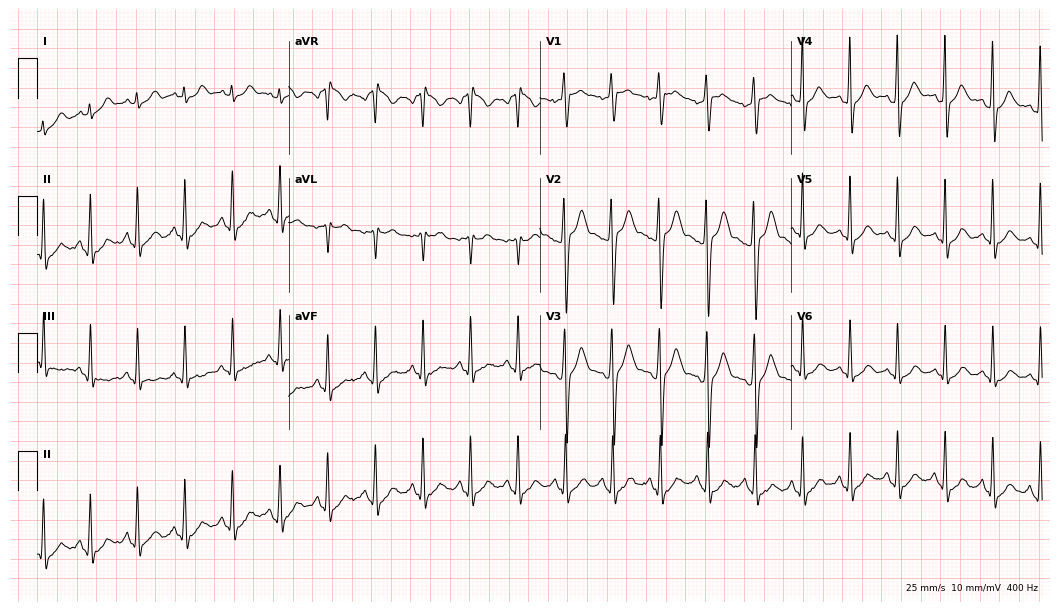
ECG — a 26-year-old male. Findings include sinus tachycardia (a sinus rate of 100 beats per minute or more).